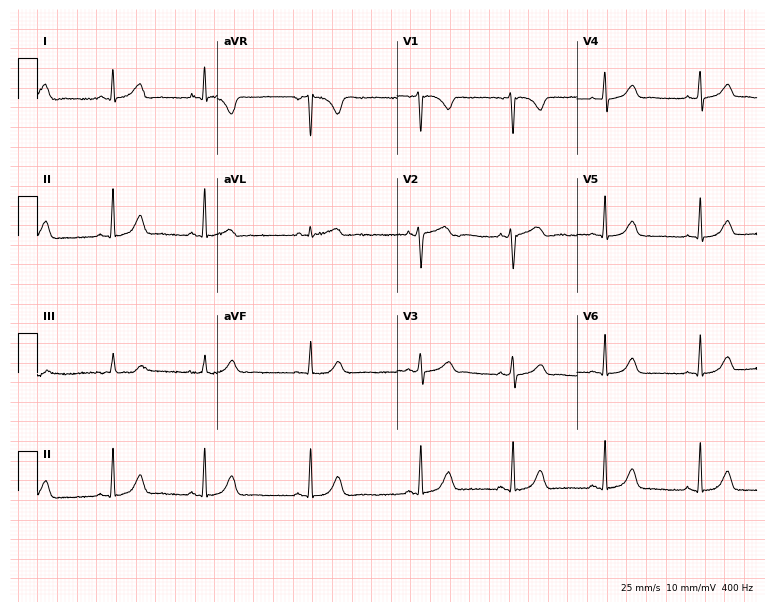
Electrocardiogram (7.3-second recording at 400 Hz), a woman, 32 years old. Of the six screened findings (first-degree AV block, right bundle branch block, left bundle branch block, sinus bradycardia, atrial fibrillation, sinus tachycardia), none is recorded.